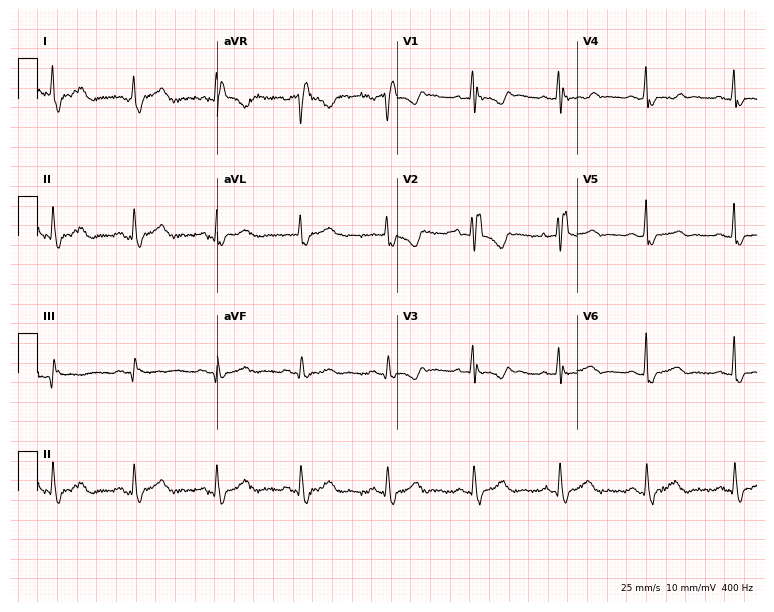
12-lead ECG (7.3-second recording at 400 Hz) from a female patient, 44 years old. Findings include right bundle branch block.